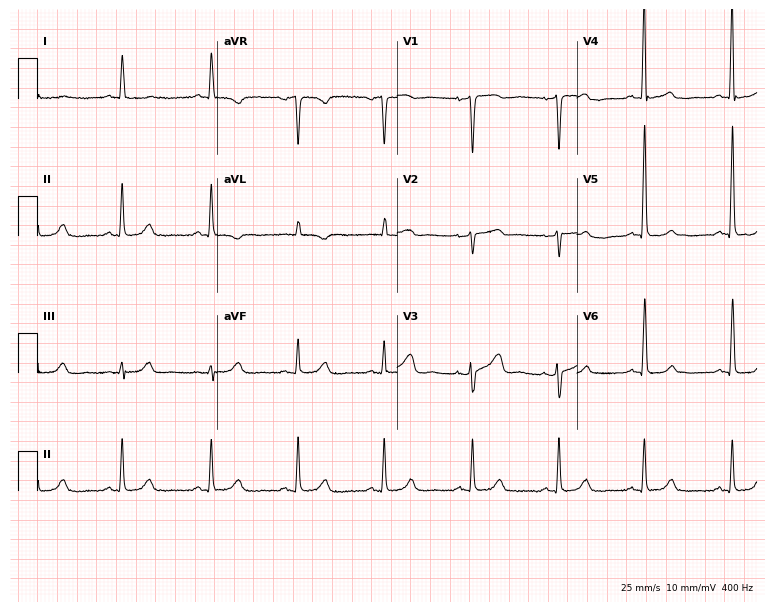
12-lead ECG from an 83-year-old female. No first-degree AV block, right bundle branch block, left bundle branch block, sinus bradycardia, atrial fibrillation or sinus tachycardia recorded for this tracing. Other findings, if any, are not listed.